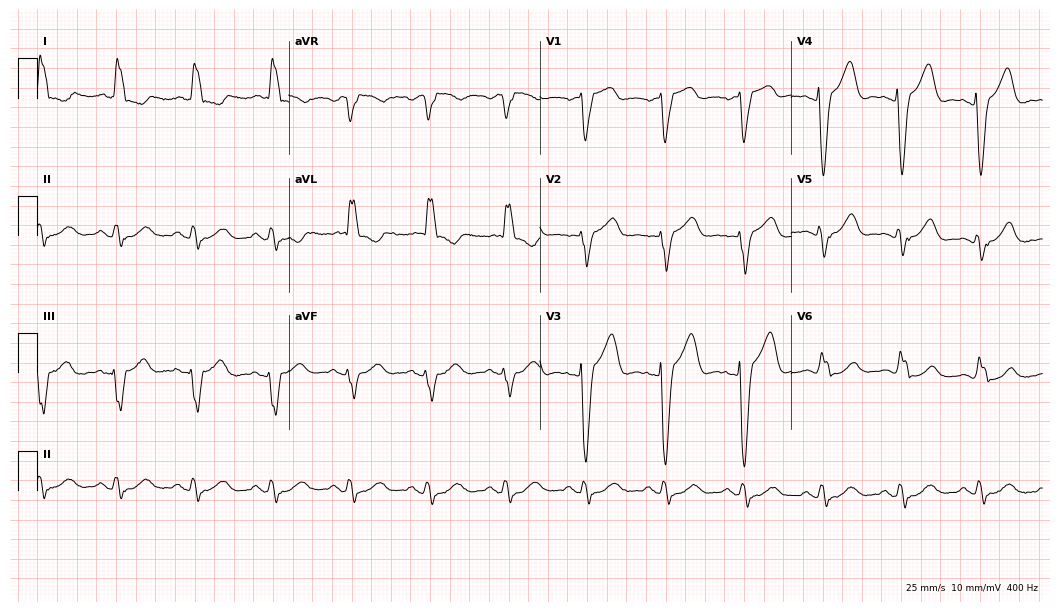
Standard 12-lead ECG recorded from an 81-year-old woman (10.2-second recording at 400 Hz). The tracing shows left bundle branch block.